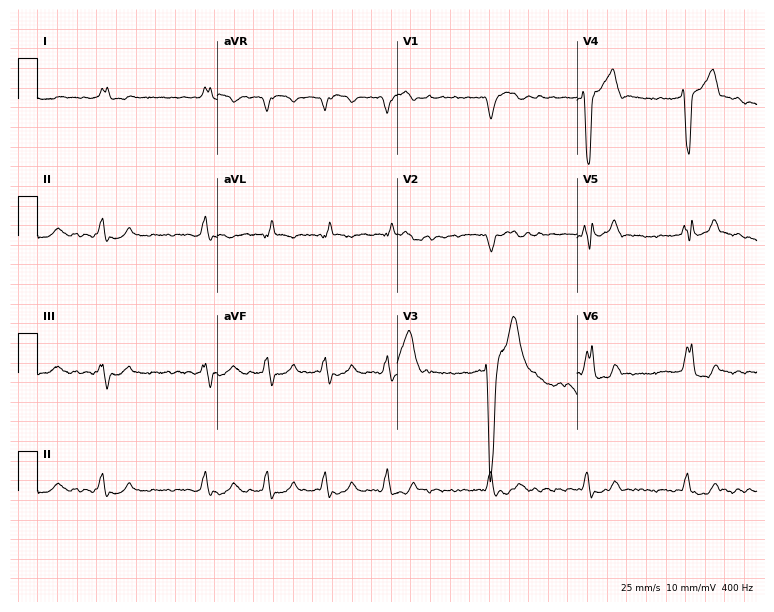
12-lead ECG (7.3-second recording at 400 Hz) from a 67-year-old male patient. Screened for six findings — first-degree AV block, right bundle branch block, left bundle branch block, sinus bradycardia, atrial fibrillation, sinus tachycardia — none is recorded. Findings outside these six are not listed.